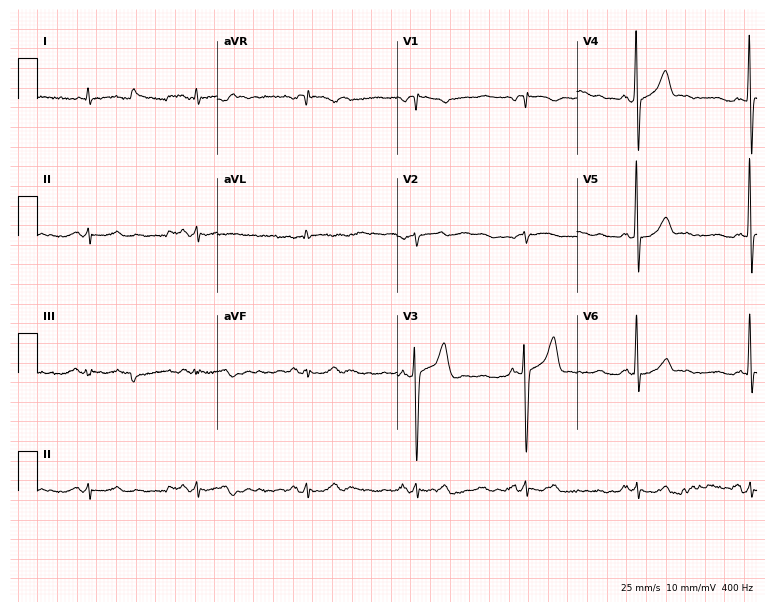
12-lead ECG from a 64-year-old male. Recorded interpretation: within normal limits.